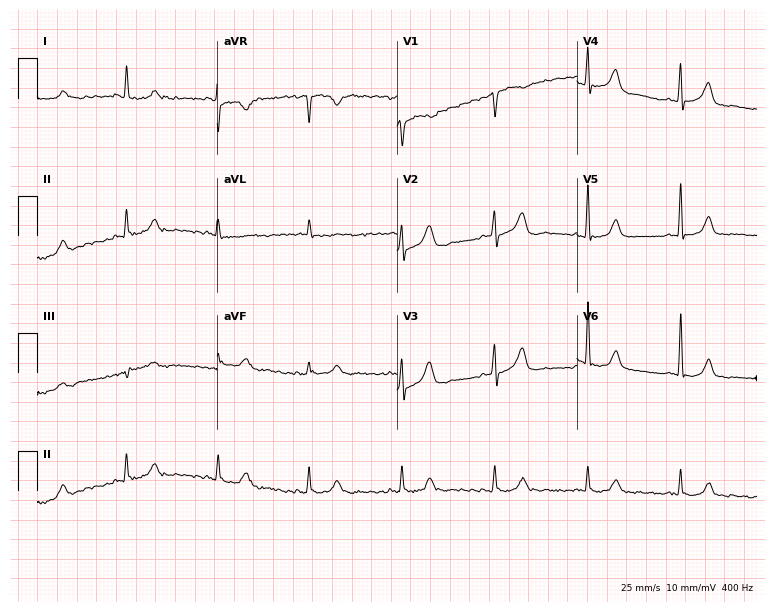
Resting 12-lead electrocardiogram. Patient: a female, 58 years old. None of these six findings is recorded: first-degree AV block, right bundle branch block, left bundle branch block, sinus bradycardia, atrial fibrillation, sinus tachycardia.